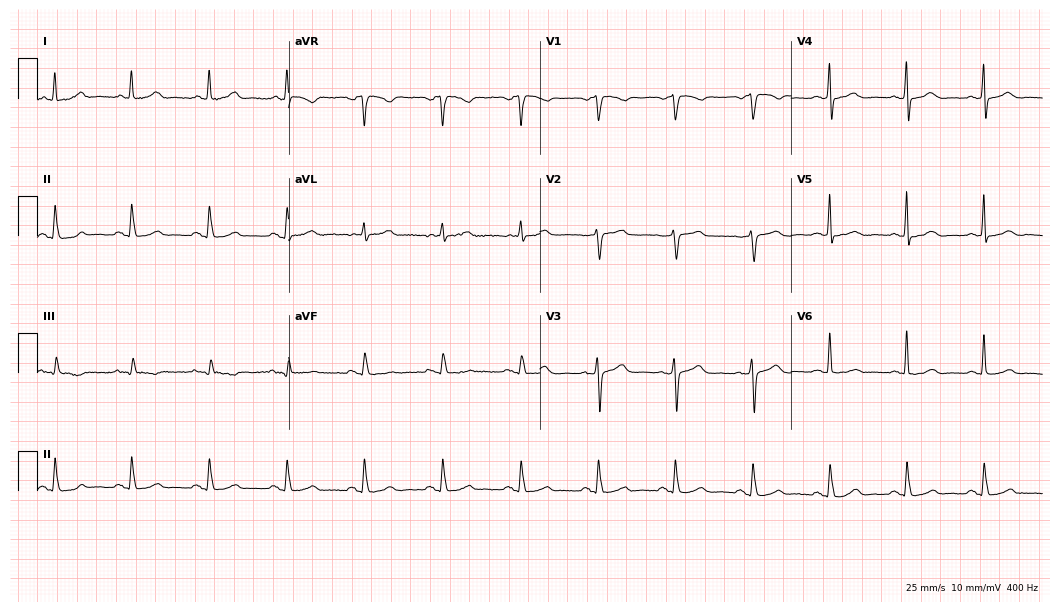
Electrocardiogram, a 67-year-old female patient. Overall reading on record: normal ECG.